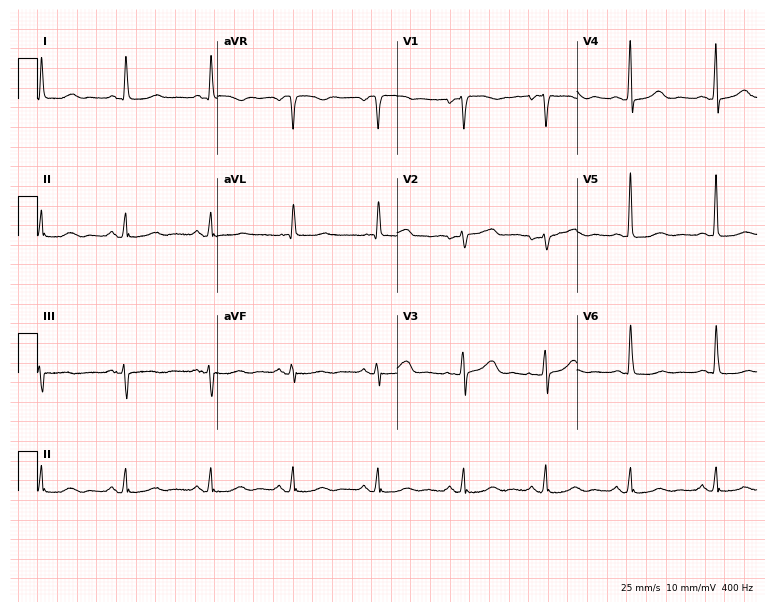
12-lead ECG from a woman, 80 years old (7.3-second recording at 400 Hz). No first-degree AV block, right bundle branch block (RBBB), left bundle branch block (LBBB), sinus bradycardia, atrial fibrillation (AF) or sinus tachycardia recorded for this tracing.